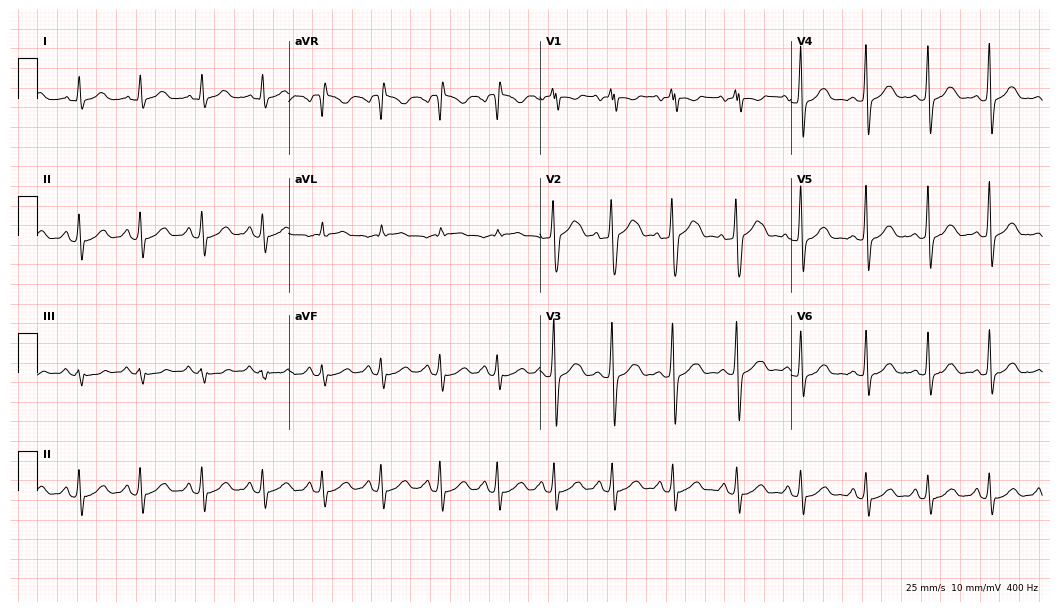
Standard 12-lead ECG recorded from a 25-year-old woman (10.2-second recording at 400 Hz). None of these six findings is recorded: first-degree AV block, right bundle branch block, left bundle branch block, sinus bradycardia, atrial fibrillation, sinus tachycardia. Only these six findings were labelled.